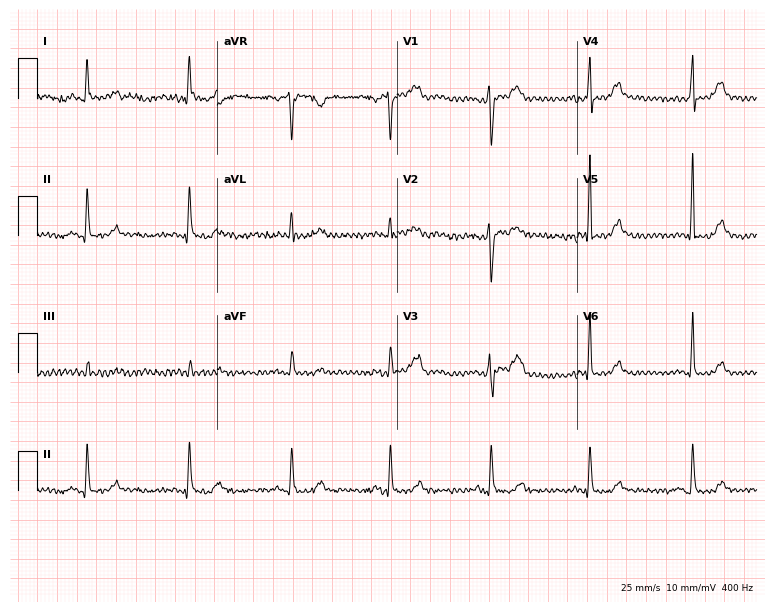
Electrocardiogram (7.3-second recording at 400 Hz), a woman, 46 years old. Of the six screened findings (first-degree AV block, right bundle branch block (RBBB), left bundle branch block (LBBB), sinus bradycardia, atrial fibrillation (AF), sinus tachycardia), none is recorded.